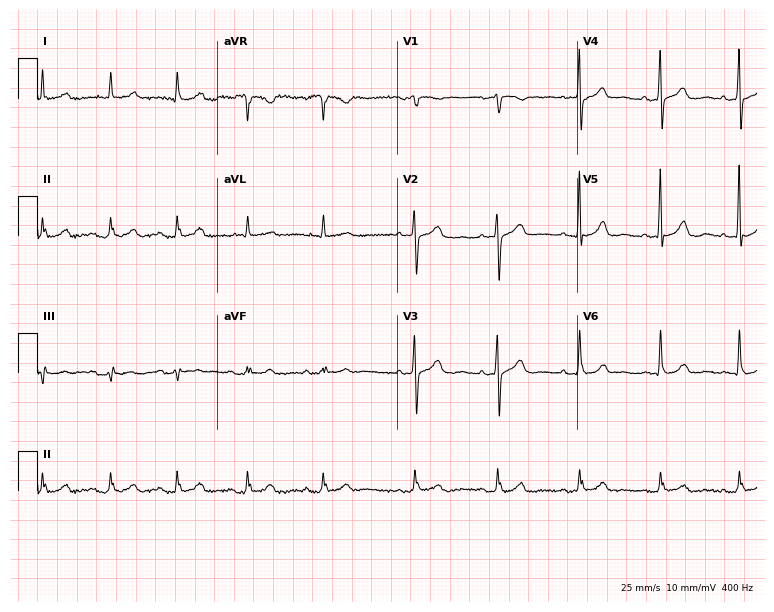
12-lead ECG (7.3-second recording at 400 Hz) from an 83-year-old female. Labelled as a normal ECG.